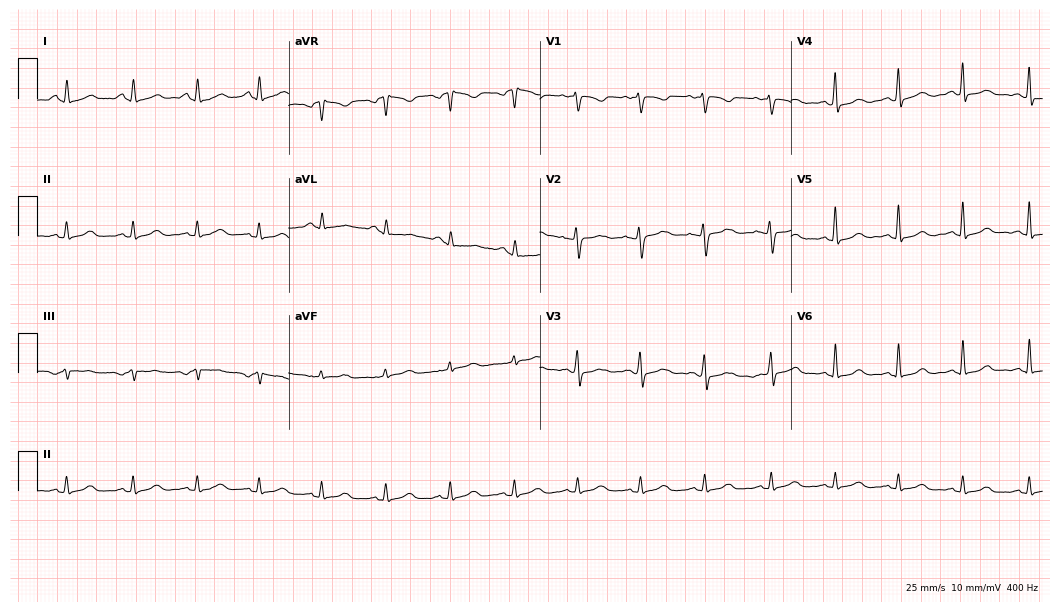
Resting 12-lead electrocardiogram. Patient: a female, 34 years old. Read as a normal ECG.